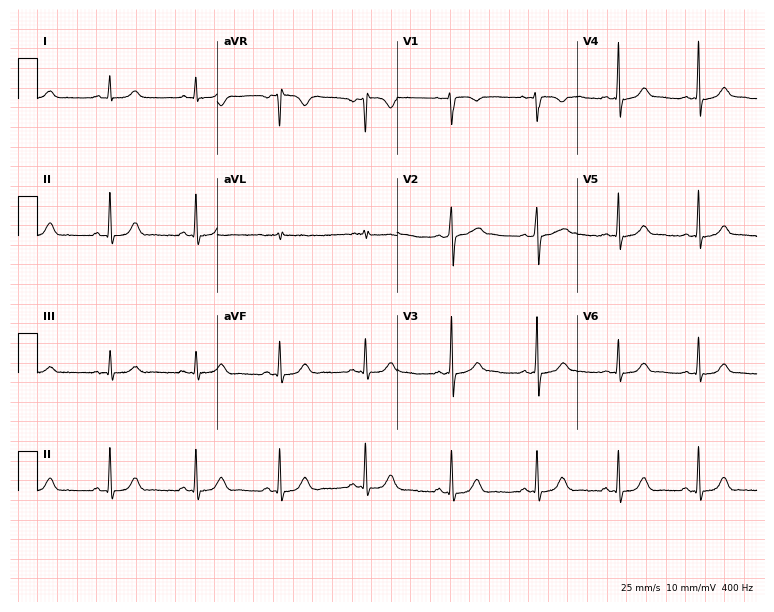
Standard 12-lead ECG recorded from a 23-year-old female (7.3-second recording at 400 Hz). None of these six findings is recorded: first-degree AV block, right bundle branch block, left bundle branch block, sinus bradycardia, atrial fibrillation, sinus tachycardia.